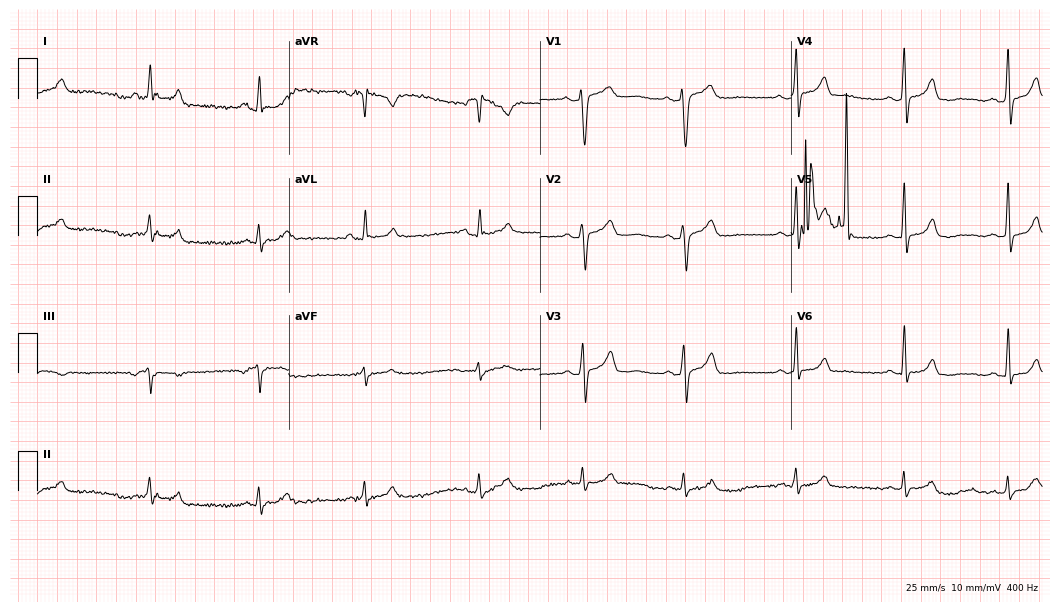
12-lead ECG (10.2-second recording at 400 Hz) from a woman, 51 years old. Labelled as a normal ECG.